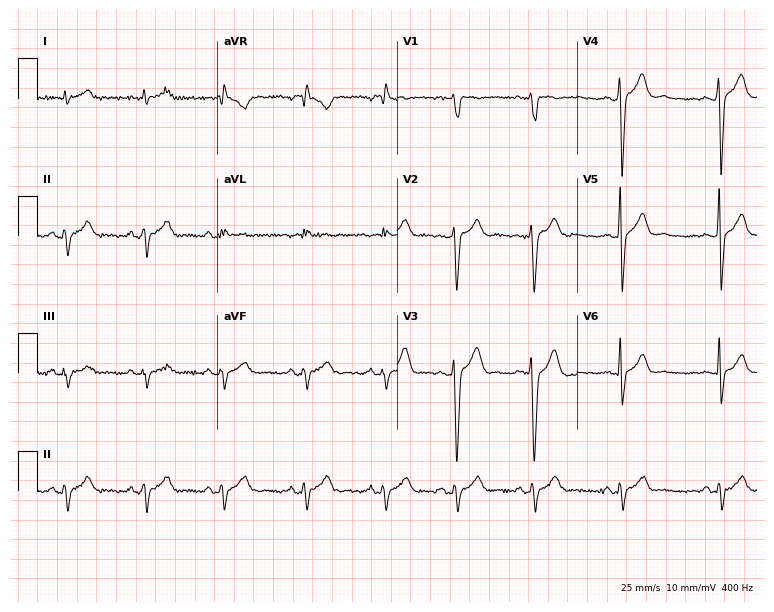
12-lead ECG from a 22-year-old man (7.3-second recording at 400 Hz). No first-degree AV block, right bundle branch block, left bundle branch block, sinus bradycardia, atrial fibrillation or sinus tachycardia recorded for this tracing.